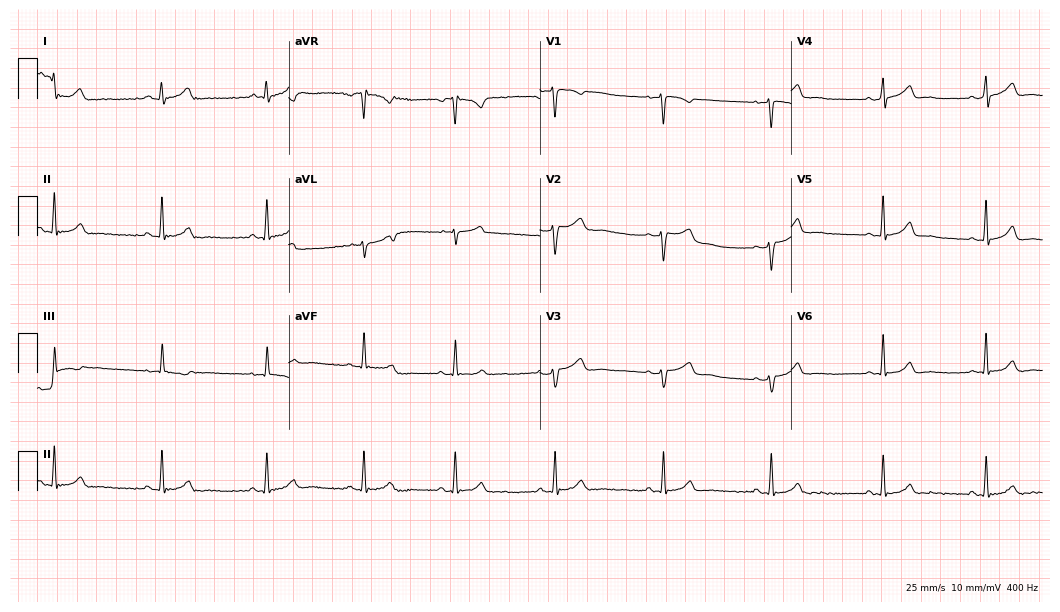
12-lead ECG from a woman, 30 years old. Labelled as a normal ECG.